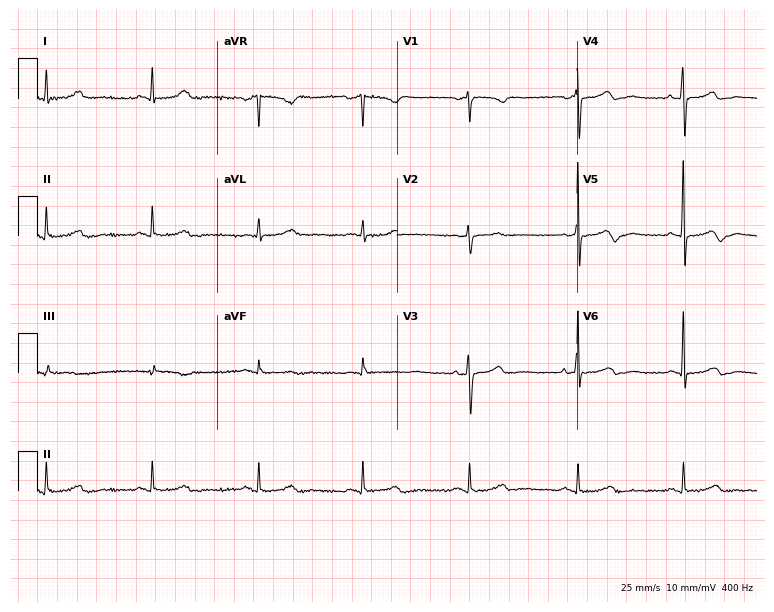
12-lead ECG from a 77-year-old female. Labelled as a normal ECG.